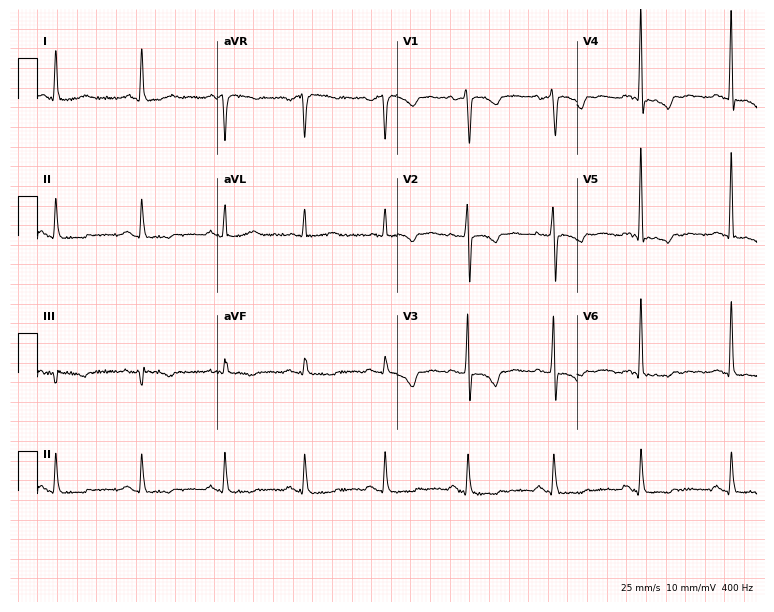
Electrocardiogram (7.3-second recording at 400 Hz), a male patient, 56 years old. Of the six screened findings (first-degree AV block, right bundle branch block (RBBB), left bundle branch block (LBBB), sinus bradycardia, atrial fibrillation (AF), sinus tachycardia), none is recorded. Only these six findings were labelled.